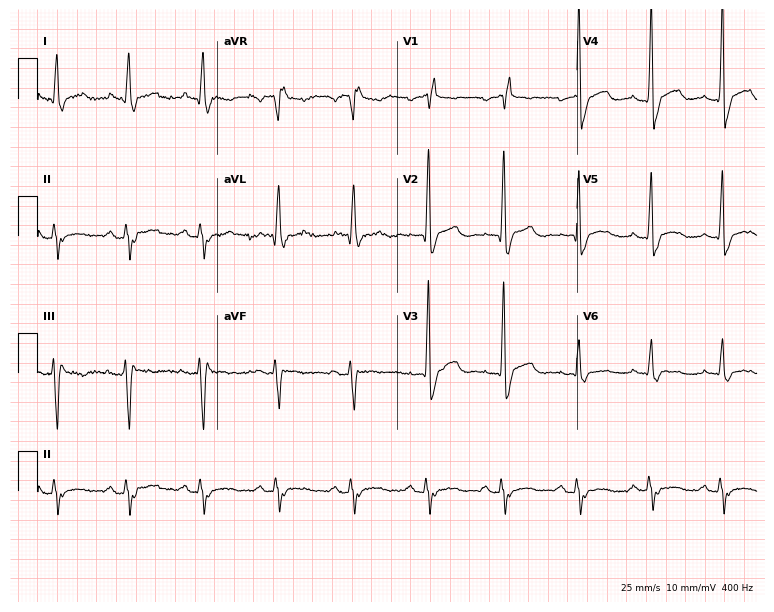
Electrocardiogram (7.3-second recording at 400 Hz), a 57-year-old man. Of the six screened findings (first-degree AV block, right bundle branch block, left bundle branch block, sinus bradycardia, atrial fibrillation, sinus tachycardia), none is recorded. Only these six findings were labelled.